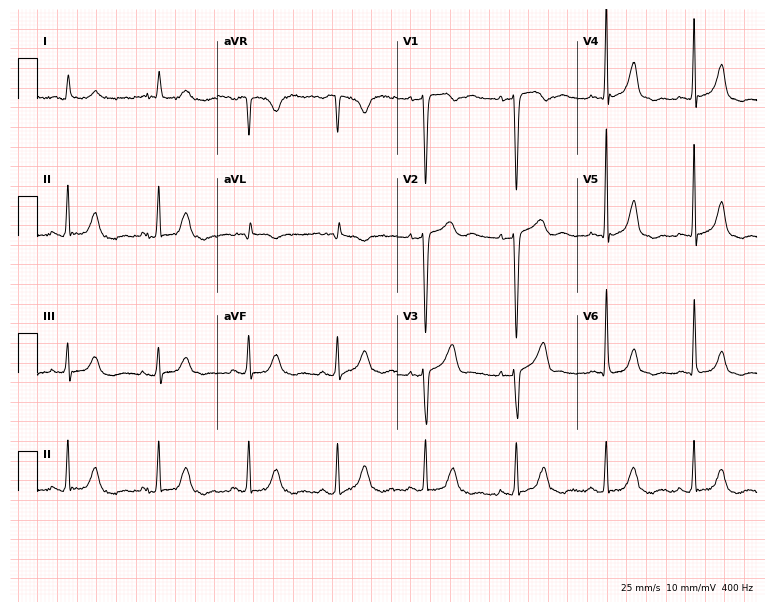
ECG (7.3-second recording at 400 Hz) — a 71-year-old man. Screened for six findings — first-degree AV block, right bundle branch block (RBBB), left bundle branch block (LBBB), sinus bradycardia, atrial fibrillation (AF), sinus tachycardia — none is recorded.